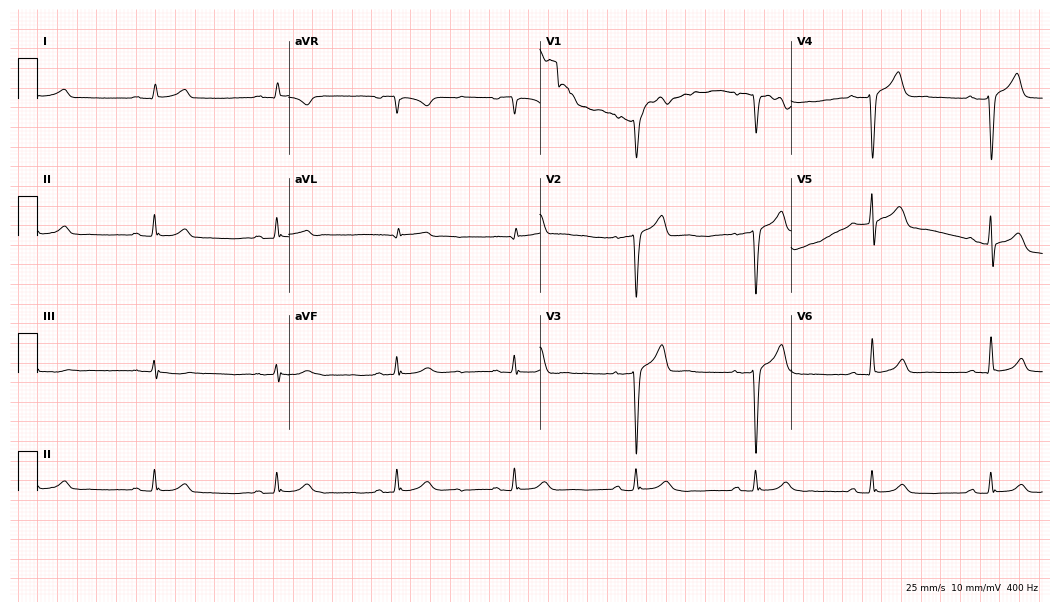
12-lead ECG (10.2-second recording at 400 Hz) from a male patient, 74 years old. Findings include first-degree AV block, atrial fibrillation (AF).